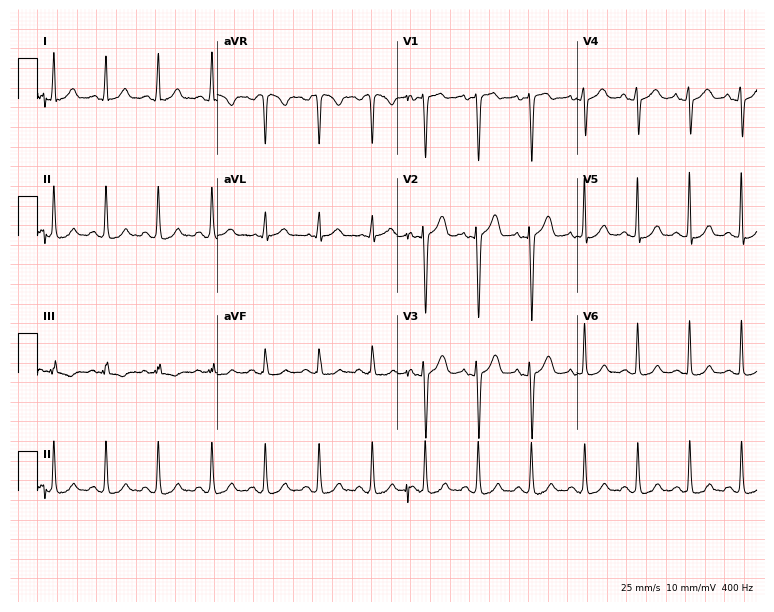
12-lead ECG from a woman, 38 years old (7.3-second recording at 400 Hz). Shows sinus tachycardia (a sinus rate of 100 beats per minute or more).